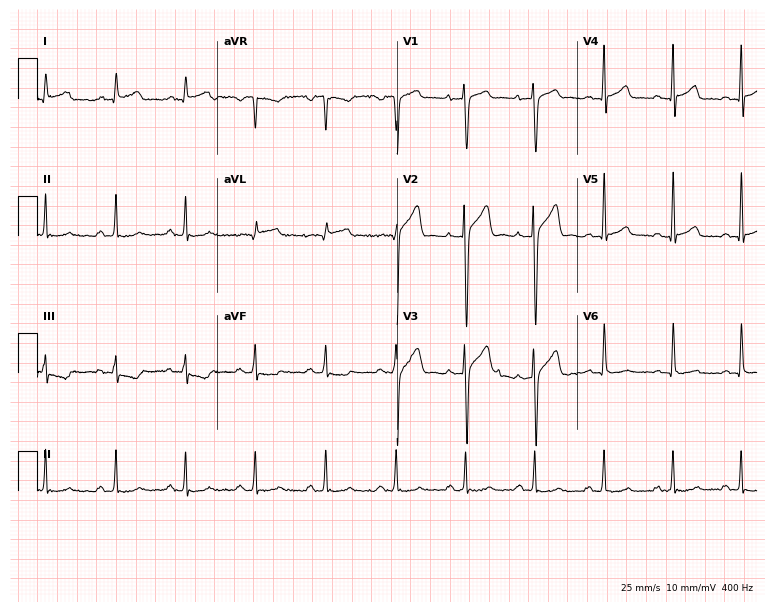
ECG (7.3-second recording at 400 Hz) — a male patient, 35 years old. Screened for six findings — first-degree AV block, right bundle branch block, left bundle branch block, sinus bradycardia, atrial fibrillation, sinus tachycardia — none is recorded. Only these six findings were labelled.